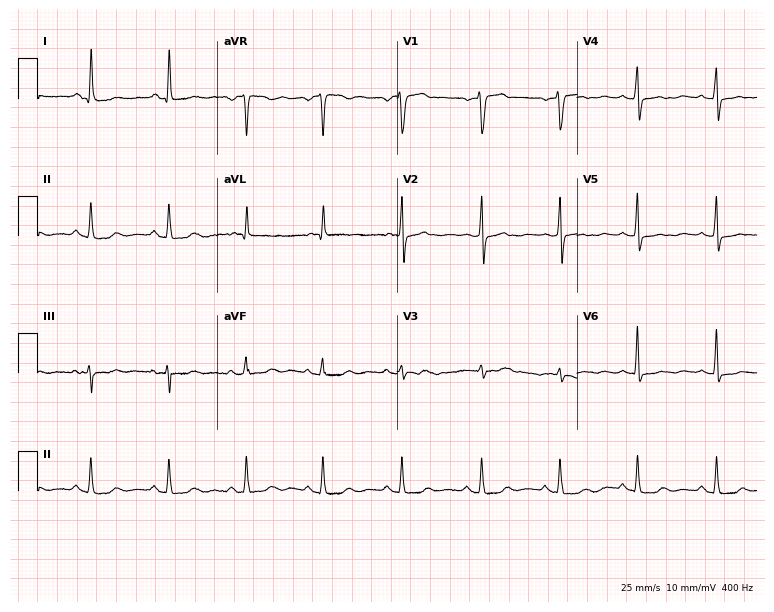
12-lead ECG (7.3-second recording at 400 Hz) from a 48-year-old woman. Screened for six findings — first-degree AV block, right bundle branch block, left bundle branch block, sinus bradycardia, atrial fibrillation, sinus tachycardia — none is recorded. Only these six findings were labelled.